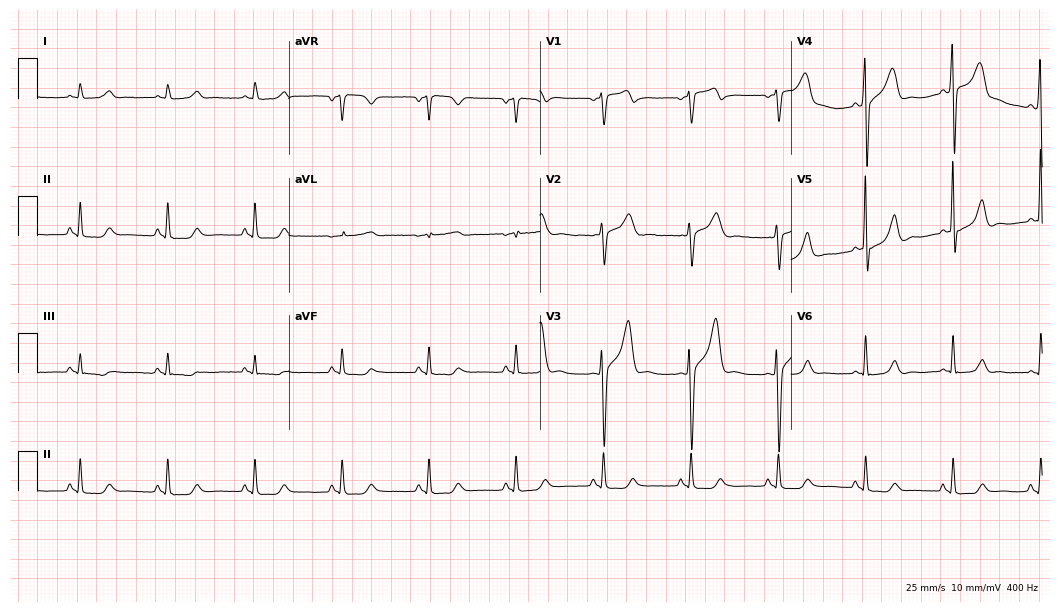
12-lead ECG from a man, 46 years old. No first-degree AV block, right bundle branch block, left bundle branch block, sinus bradycardia, atrial fibrillation or sinus tachycardia recorded for this tracing. Only these six findings were labelled.